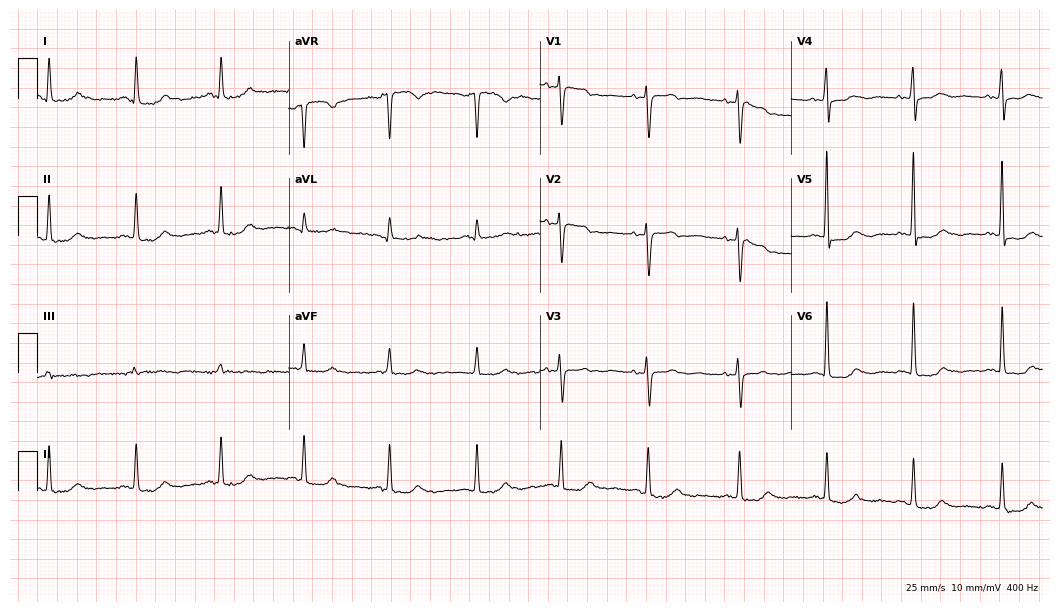
Resting 12-lead electrocardiogram. Patient: a woman, 54 years old. Read as a normal ECG.